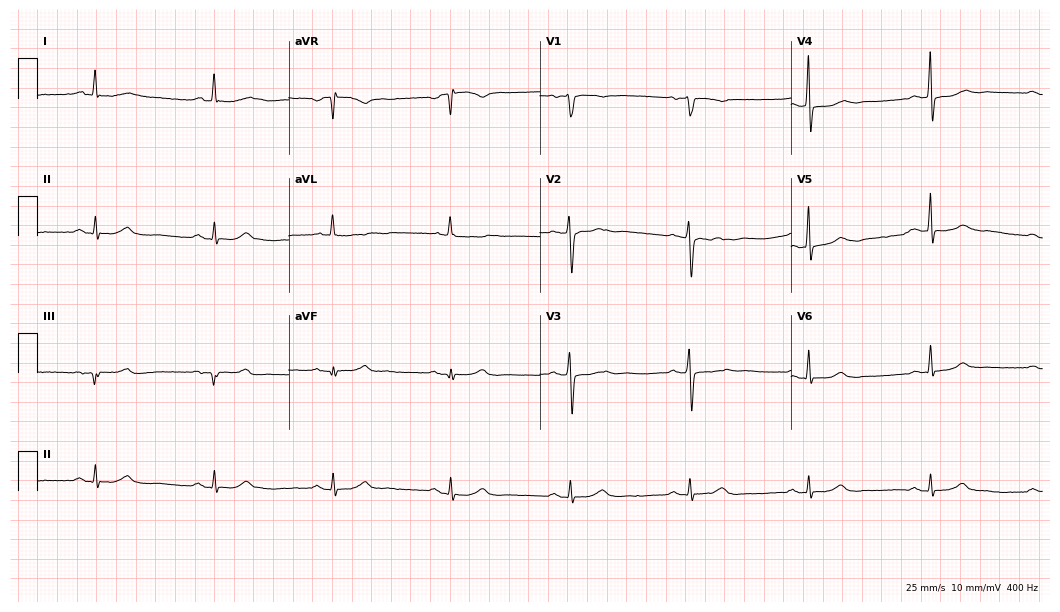
Standard 12-lead ECG recorded from a male patient, 75 years old. Read as a normal ECG.